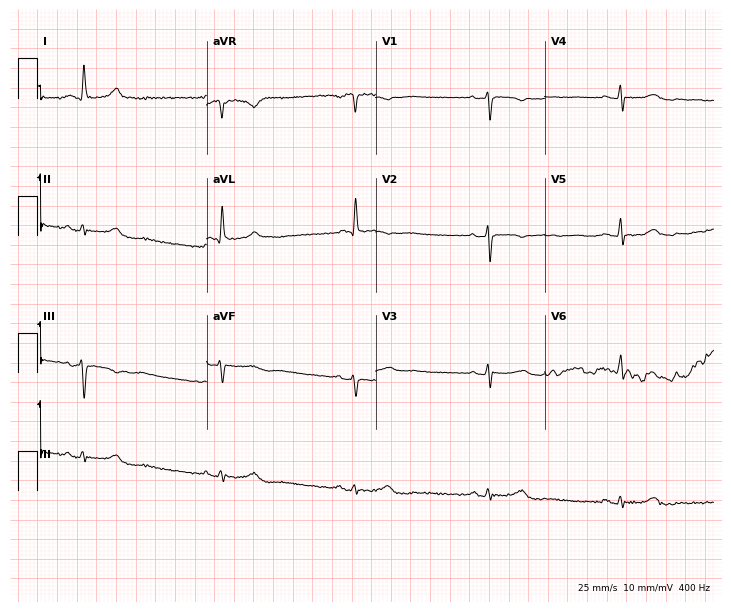
Electrocardiogram, an 80-year-old female patient. Of the six screened findings (first-degree AV block, right bundle branch block, left bundle branch block, sinus bradycardia, atrial fibrillation, sinus tachycardia), none is recorded.